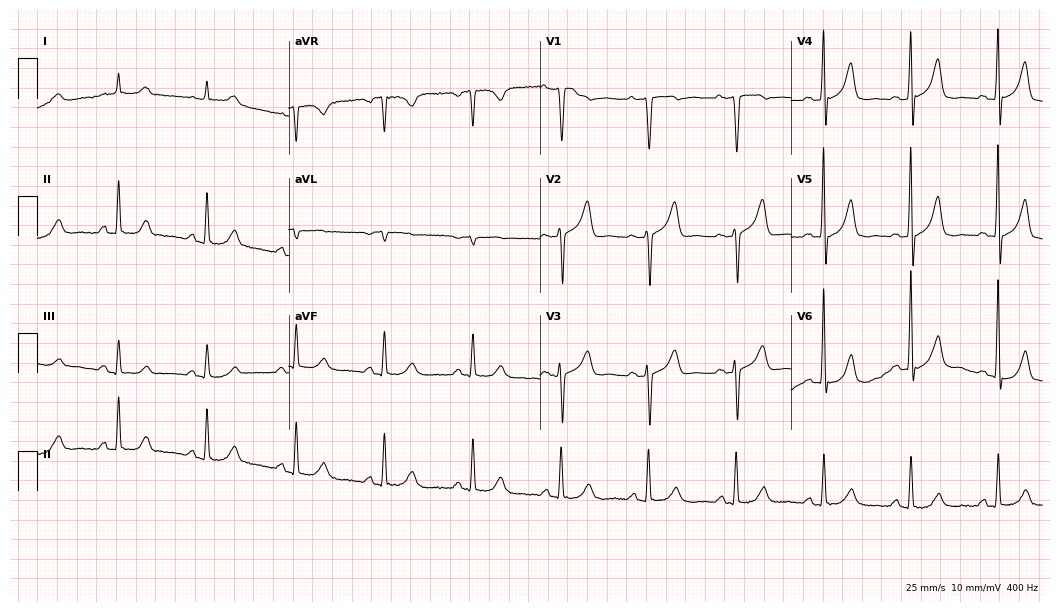
Electrocardiogram (10.2-second recording at 400 Hz), a male, 67 years old. Of the six screened findings (first-degree AV block, right bundle branch block (RBBB), left bundle branch block (LBBB), sinus bradycardia, atrial fibrillation (AF), sinus tachycardia), none is recorded.